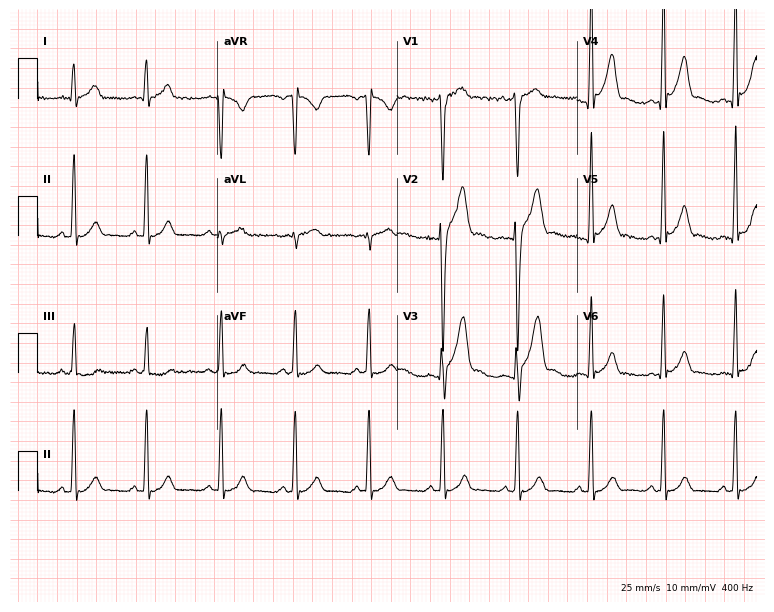
12-lead ECG from a male, 24 years old. Screened for six findings — first-degree AV block, right bundle branch block, left bundle branch block, sinus bradycardia, atrial fibrillation, sinus tachycardia — none is recorded. Findings outside these six are not listed.